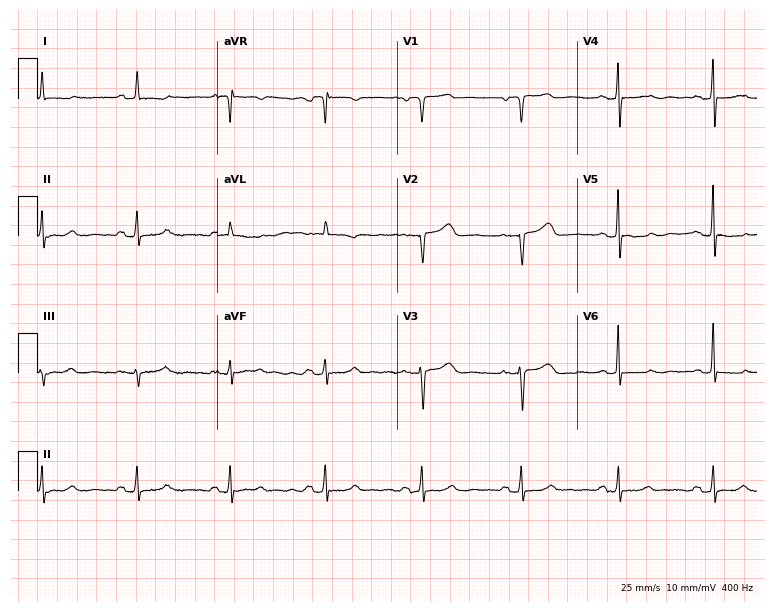
Electrocardiogram (7.3-second recording at 400 Hz), a female, 84 years old. Of the six screened findings (first-degree AV block, right bundle branch block (RBBB), left bundle branch block (LBBB), sinus bradycardia, atrial fibrillation (AF), sinus tachycardia), none is recorded. Findings outside these six are not listed.